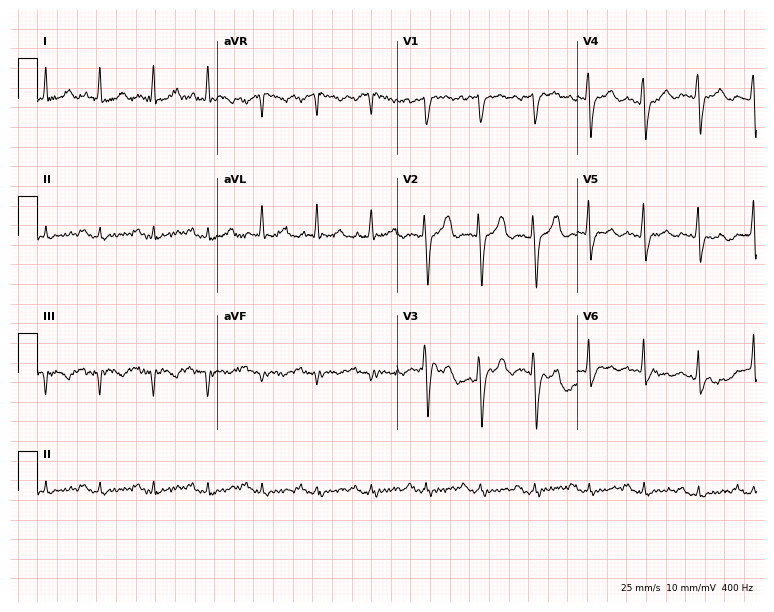
ECG (7.3-second recording at 400 Hz) — a 78-year-old female. Findings include sinus tachycardia (a sinus rate of 100 beats per minute or more).